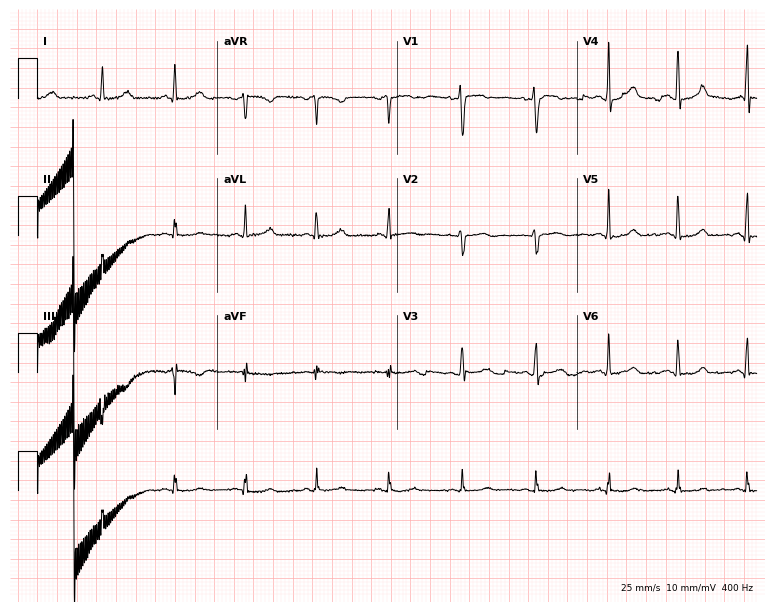
Standard 12-lead ECG recorded from a 44-year-old female patient (7.3-second recording at 400 Hz). None of these six findings is recorded: first-degree AV block, right bundle branch block, left bundle branch block, sinus bradycardia, atrial fibrillation, sinus tachycardia.